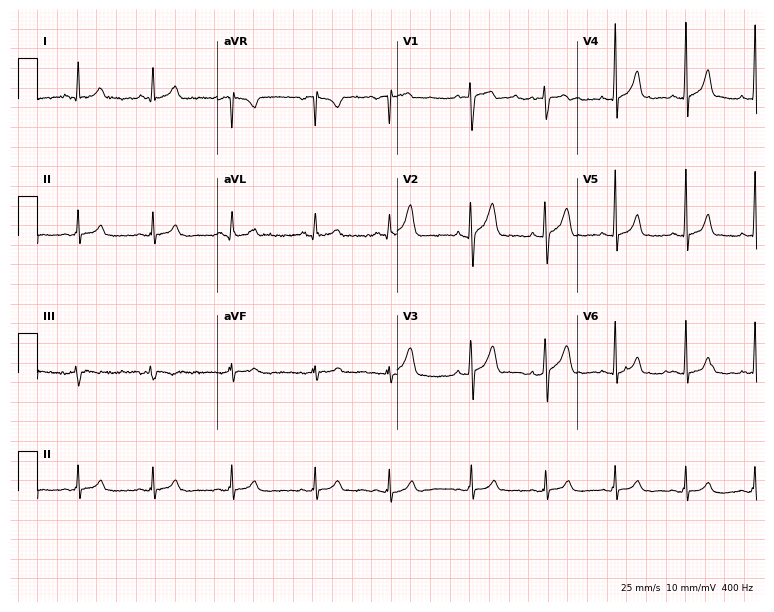
12-lead ECG from a female, 27 years old. Recorded interpretation: within normal limits.